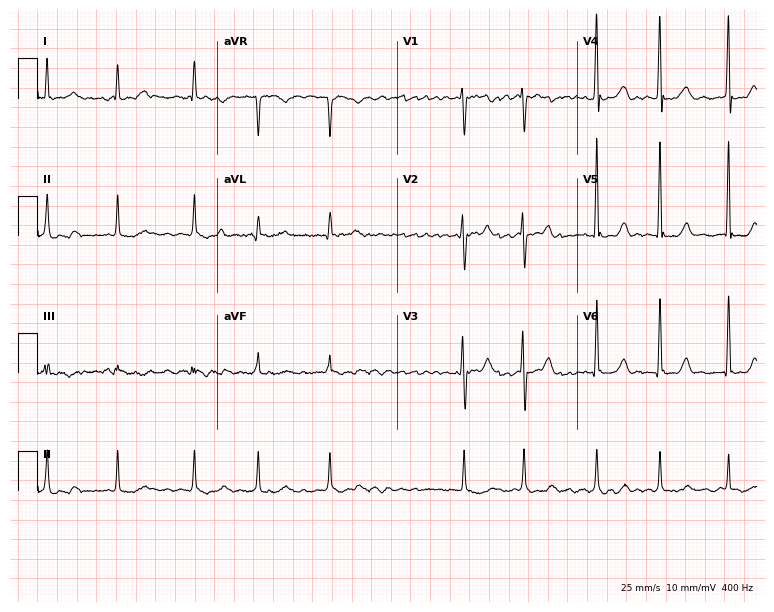
Electrocardiogram, a female patient, 57 years old. Interpretation includes atrial fibrillation.